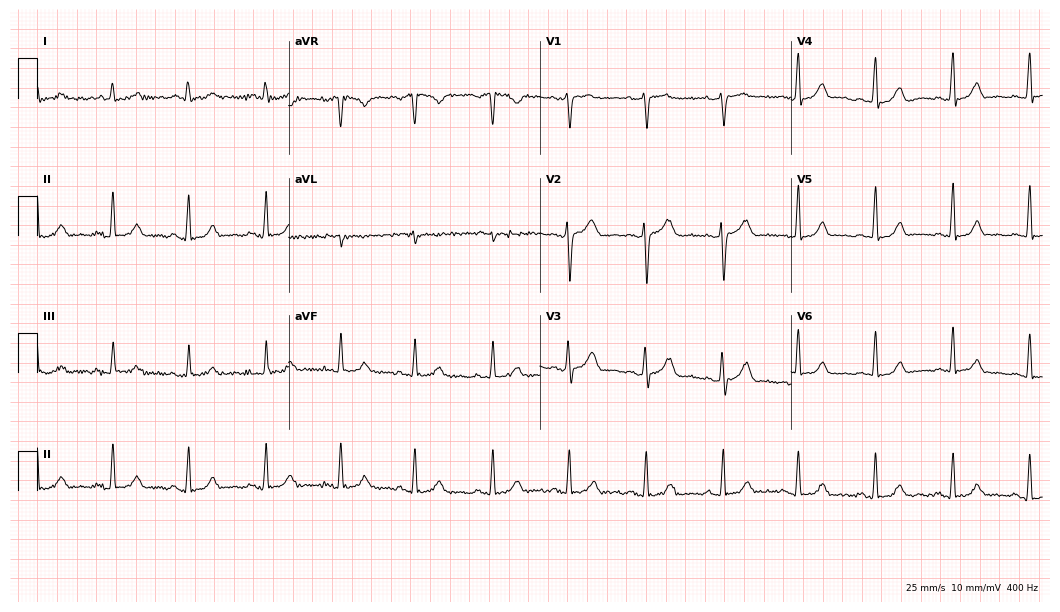
12-lead ECG from a female patient, 43 years old. Labelled as a normal ECG.